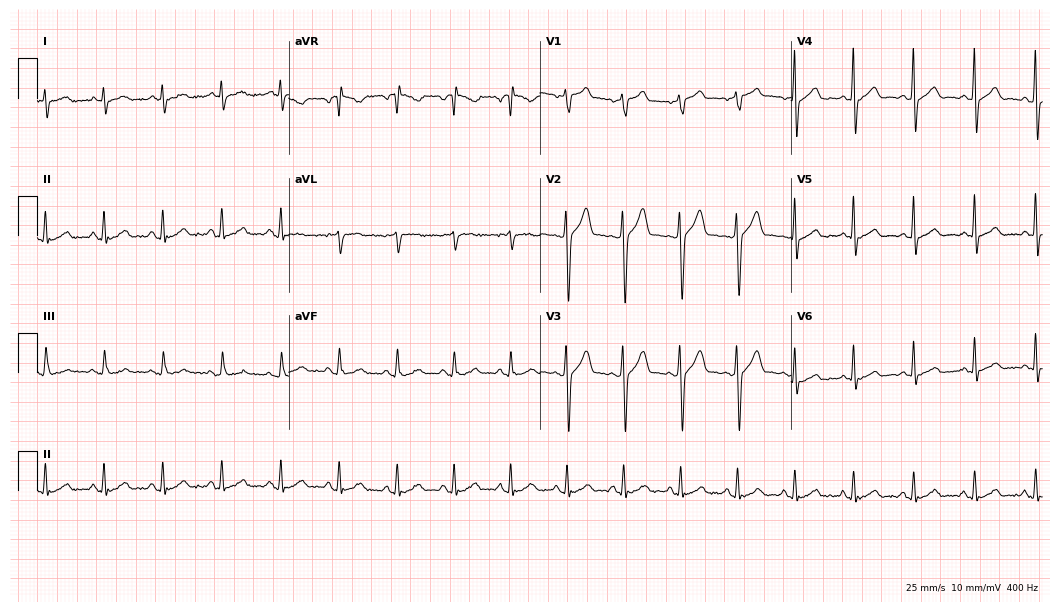
12-lead ECG from a male patient, 42 years old. Labelled as a normal ECG.